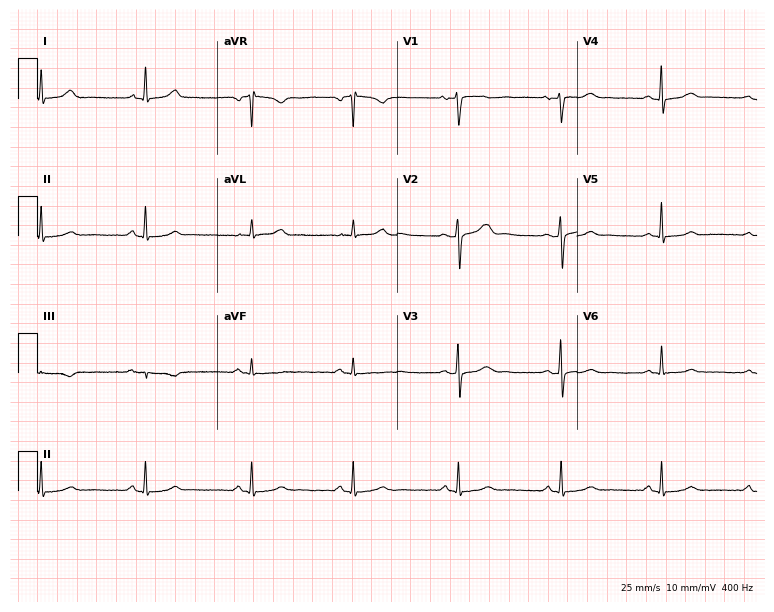
Standard 12-lead ECG recorded from a woman, 38 years old. Read as a normal ECG.